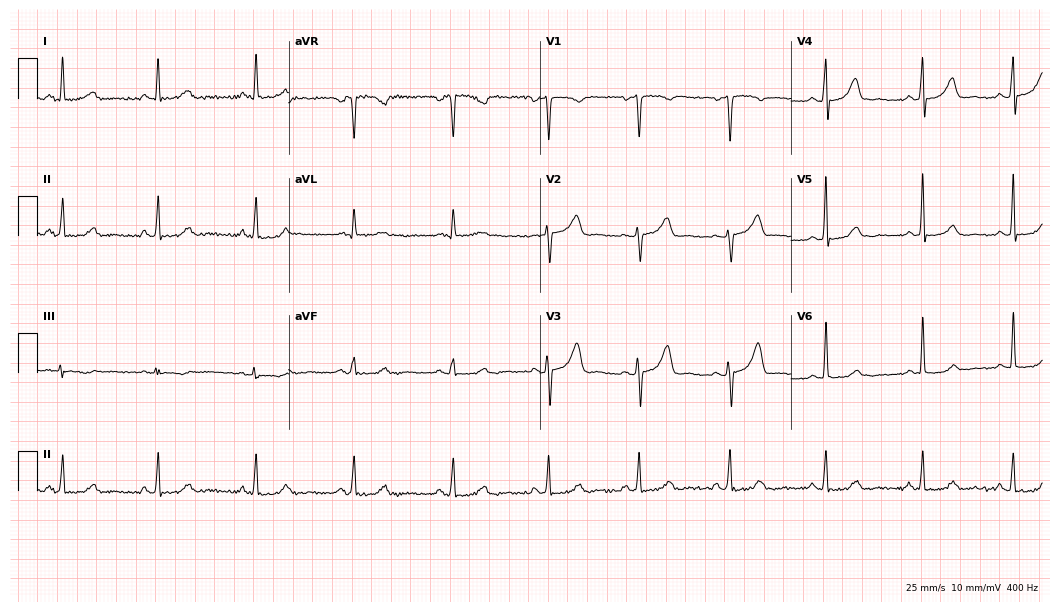
Resting 12-lead electrocardiogram. Patient: a 44-year-old woman. Read as a normal ECG.